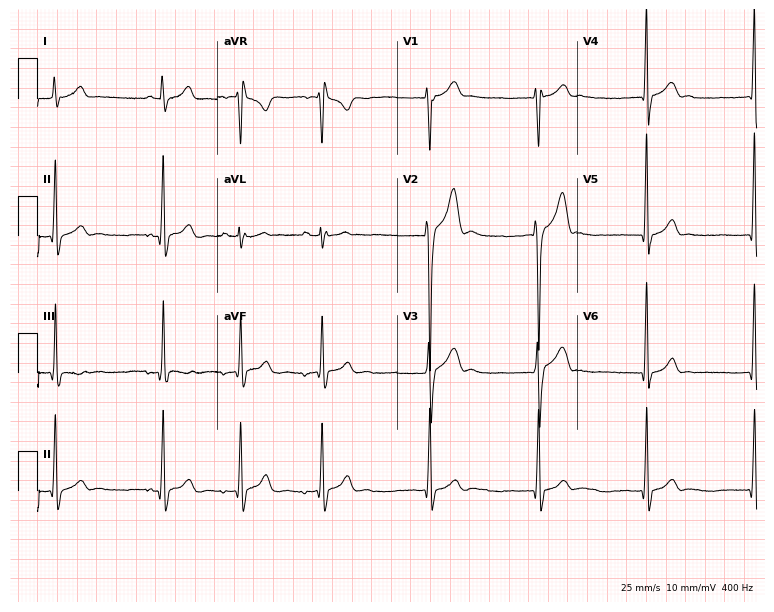
Electrocardiogram, a male patient, 17 years old. Of the six screened findings (first-degree AV block, right bundle branch block (RBBB), left bundle branch block (LBBB), sinus bradycardia, atrial fibrillation (AF), sinus tachycardia), none is recorded. Other findings, if any, are not listed.